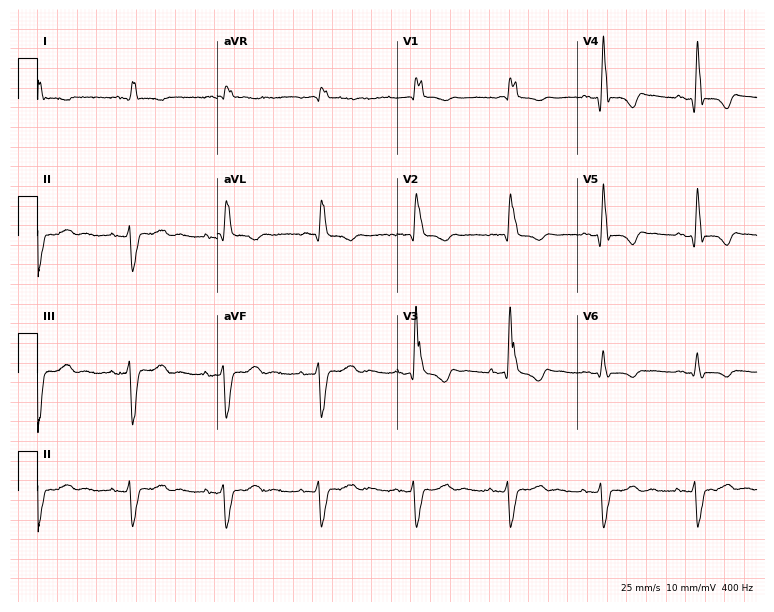
ECG (7.3-second recording at 400 Hz) — a man, 71 years old. Findings include right bundle branch block (RBBB).